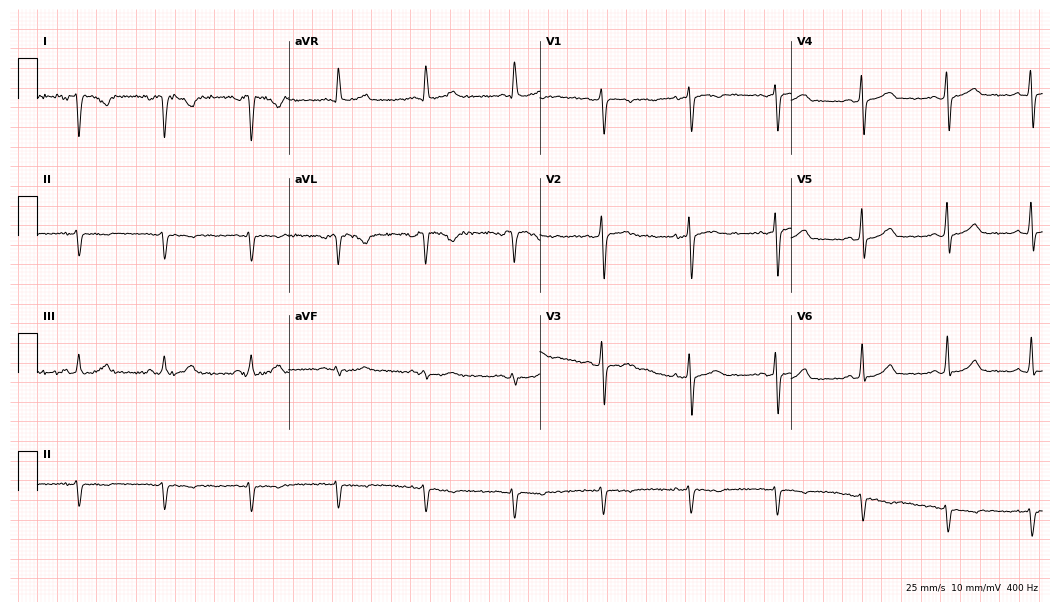
Resting 12-lead electrocardiogram. Patient: a male, 62 years old. None of these six findings is recorded: first-degree AV block, right bundle branch block, left bundle branch block, sinus bradycardia, atrial fibrillation, sinus tachycardia. Findings outside these six are not listed.